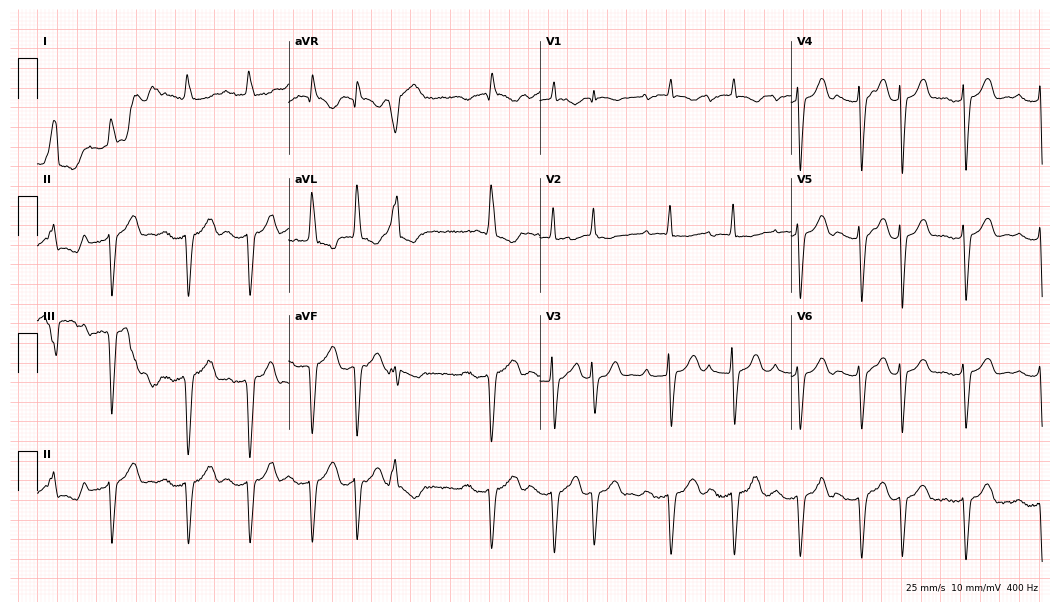
12-lead ECG from a 79-year-old woman (10.2-second recording at 400 Hz). Shows atrial fibrillation (AF).